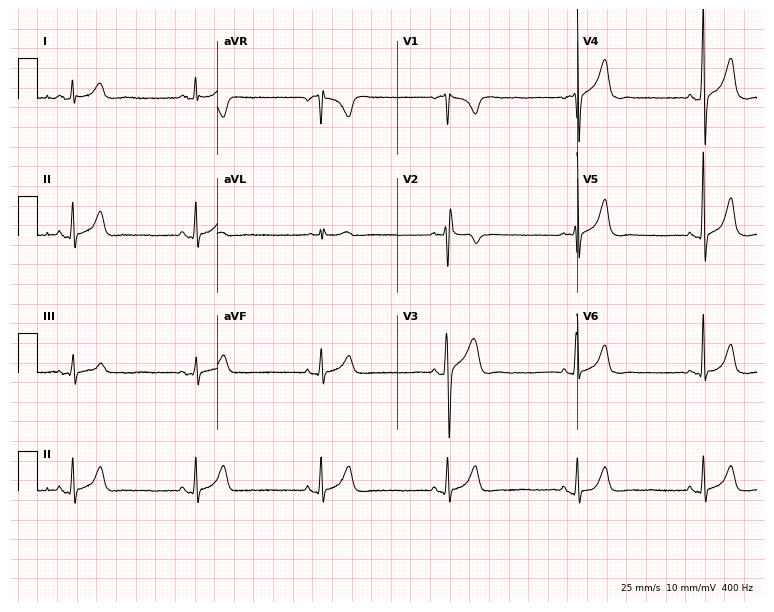
ECG (7.3-second recording at 400 Hz) — a male, 25 years old. Findings include sinus bradycardia (a sinus rate of 50 beats per minute or less).